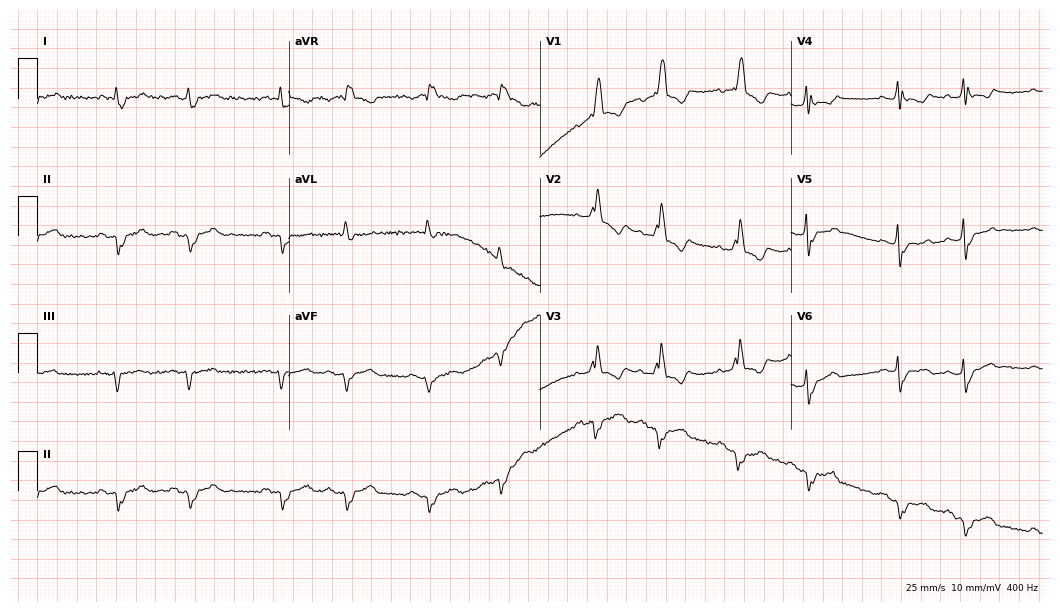
Electrocardiogram, a male, 81 years old. Of the six screened findings (first-degree AV block, right bundle branch block, left bundle branch block, sinus bradycardia, atrial fibrillation, sinus tachycardia), none is recorded. Other findings, if any, are not listed.